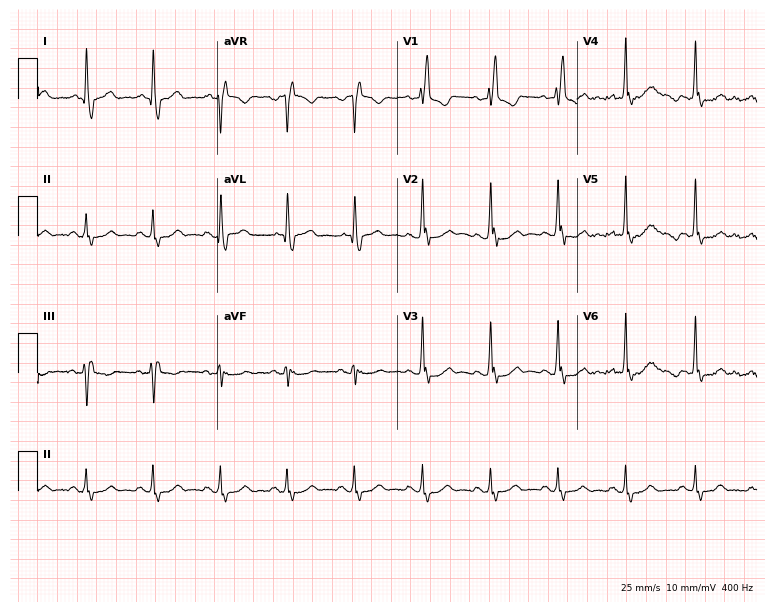
12-lead ECG from a man, 71 years old. Findings include right bundle branch block (RBBB).